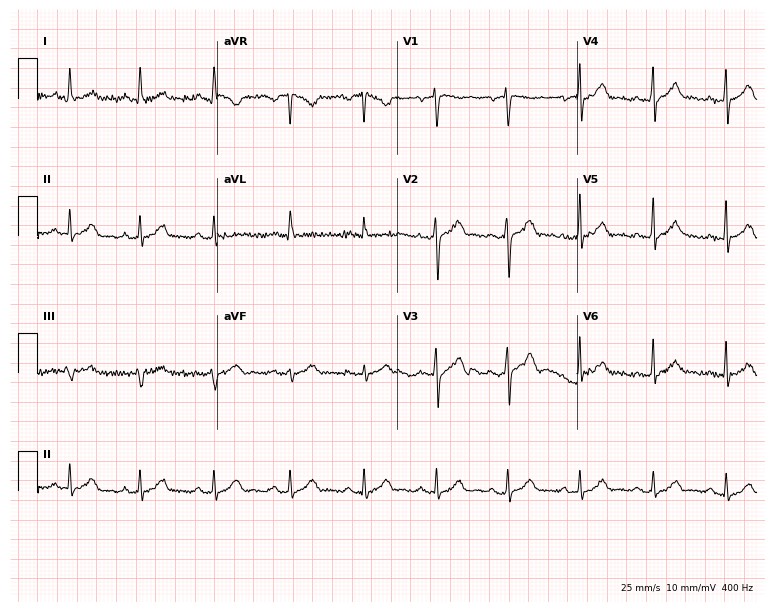
Electrocardiogram, a 36-year-old male. Overall reading on record: normal ECG.